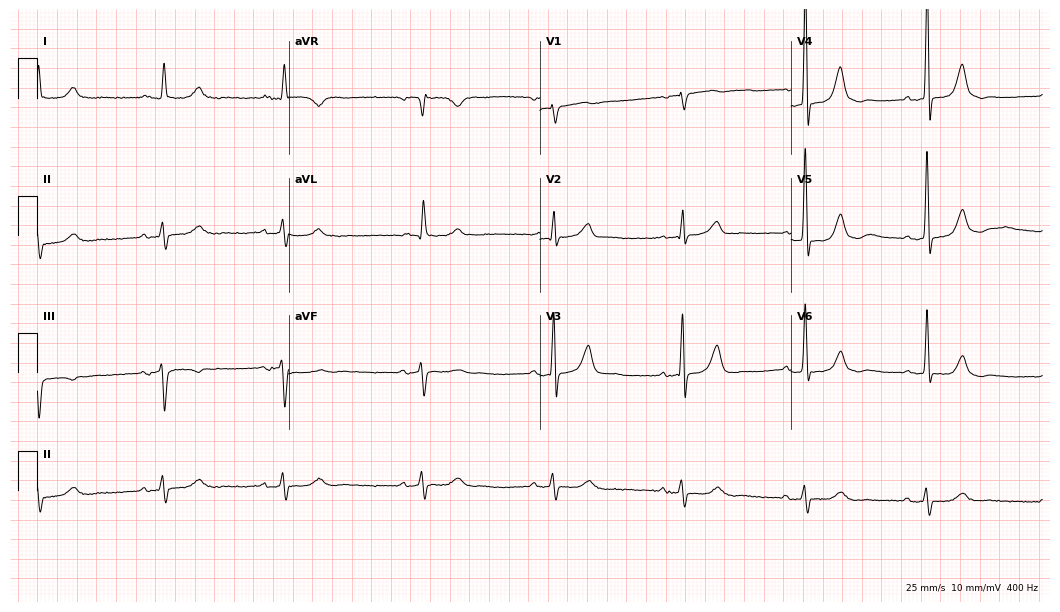
12-lead ECG (10.2-second recording at 400 Hz) from a male, 82 years old. Findings include right bundle branch block (RBBB).